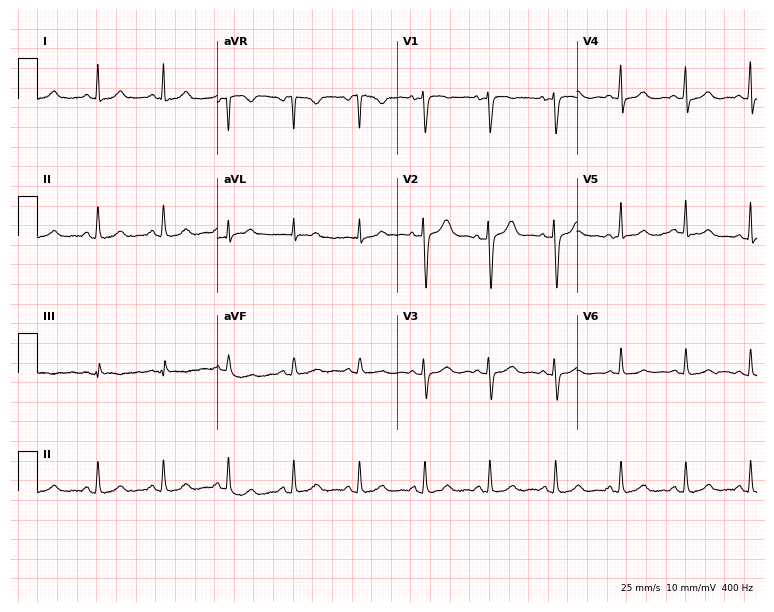
12-lead ECG from a 41-year-old female patient (7.3-second recording at 400 Hz). Recorded interpretation: within normal limits.